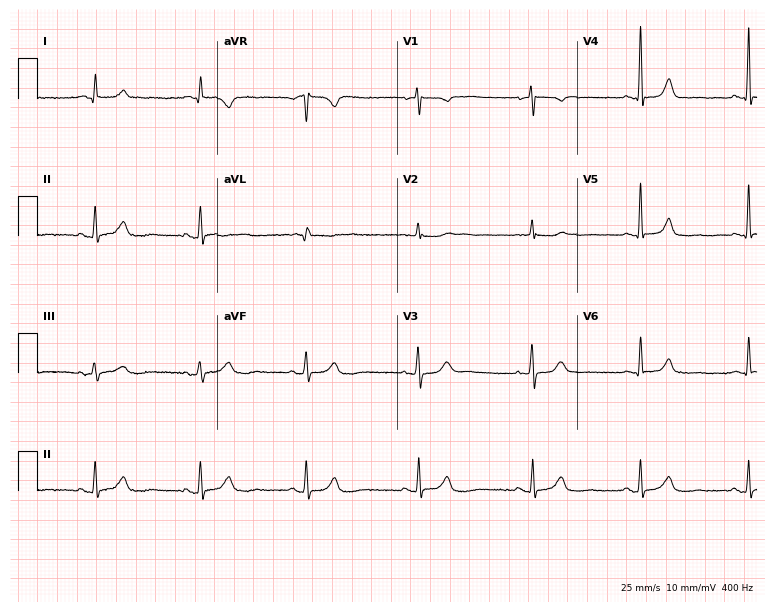
Electrocardiogram (7.3-second recording at 400 Hz), a 72-year-old female patient. Overall reading on record: normal ECG.